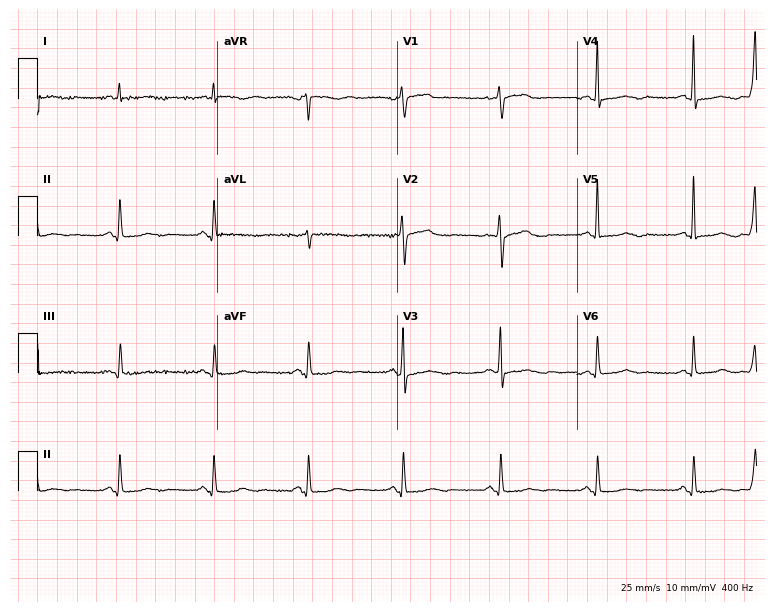
Standard 12-lead ECG recorded from a female patient, 75 years old (7.3-second recording at 400 Hz). None of these six findings is recorded: first-degree AV block, right bundle branch block, left bundle branch block, sinus bradycardia, atrial fibrillation, sinus tachycardia.